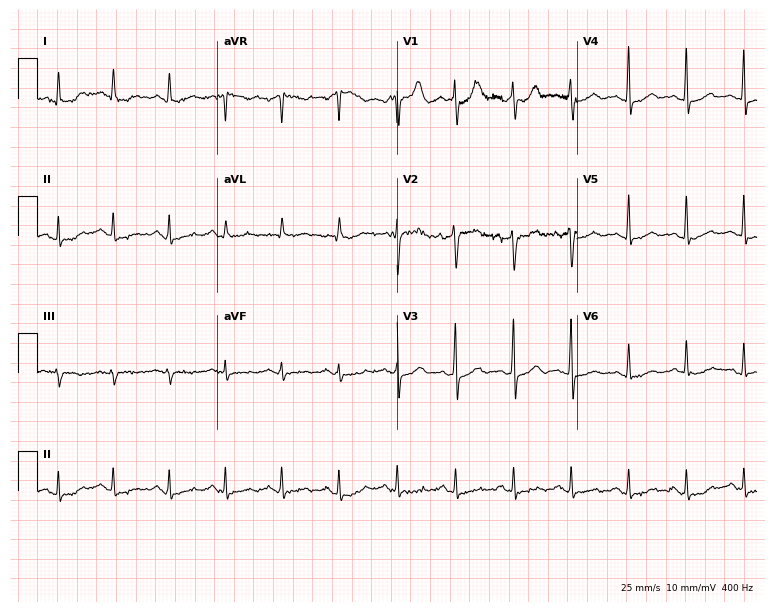
Resting 12-lead electrocardiogram (7.3-second recording at 400 Hz). Patient: a male, 61 years old. The tracing shows sinus tachycardia (a sinus rate of 100 beats per minute or more).